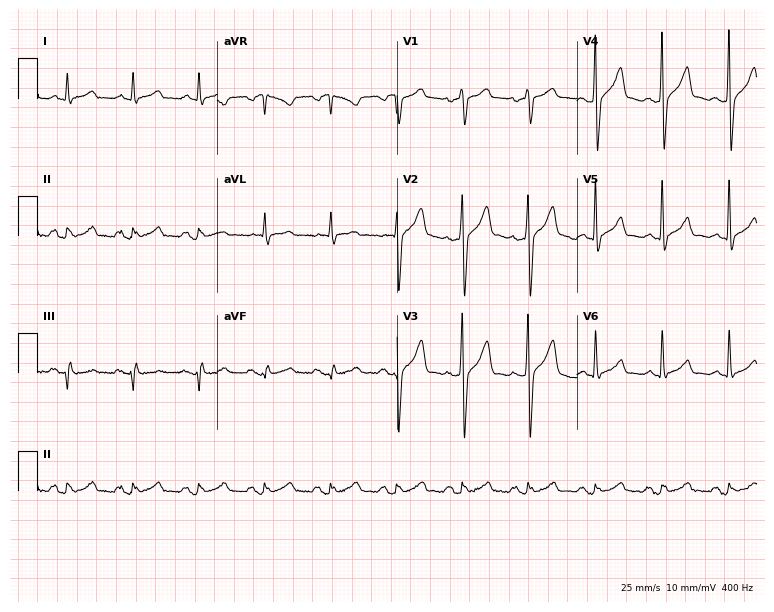
12-lead ECG (7.3-second recording at 400 Hz) from a man, 49 years old. Labelled as a normal ECG.